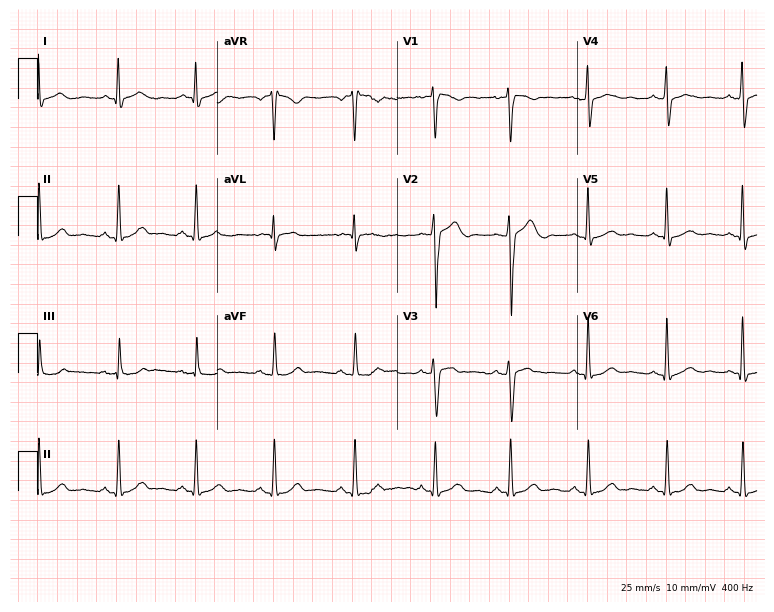
Electrocardiogram (7.3-second recording at 400 Hz), a man, 26 years old. Overall reading on record: normal ECG.